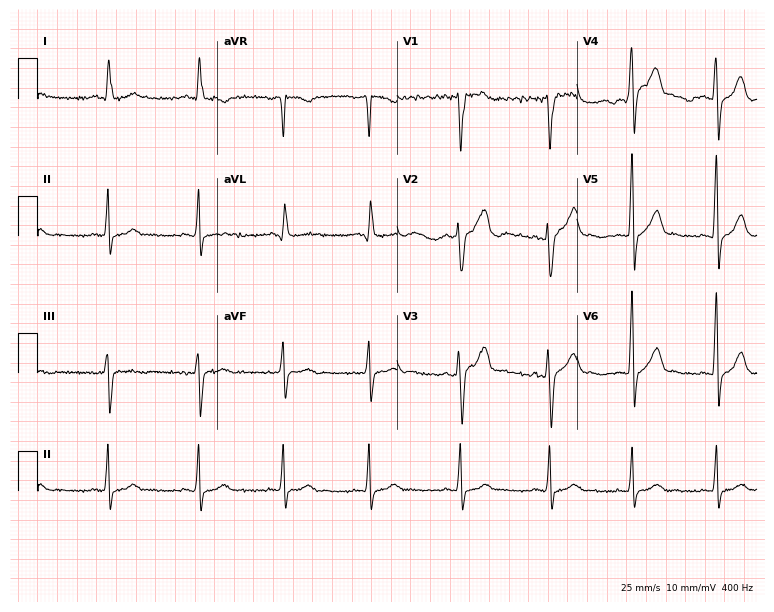
Resting 12-lead electrocardiogram (7.3-second recording at 400 Hz). Patient: a 50-year-old male. Read as a normal ECG.